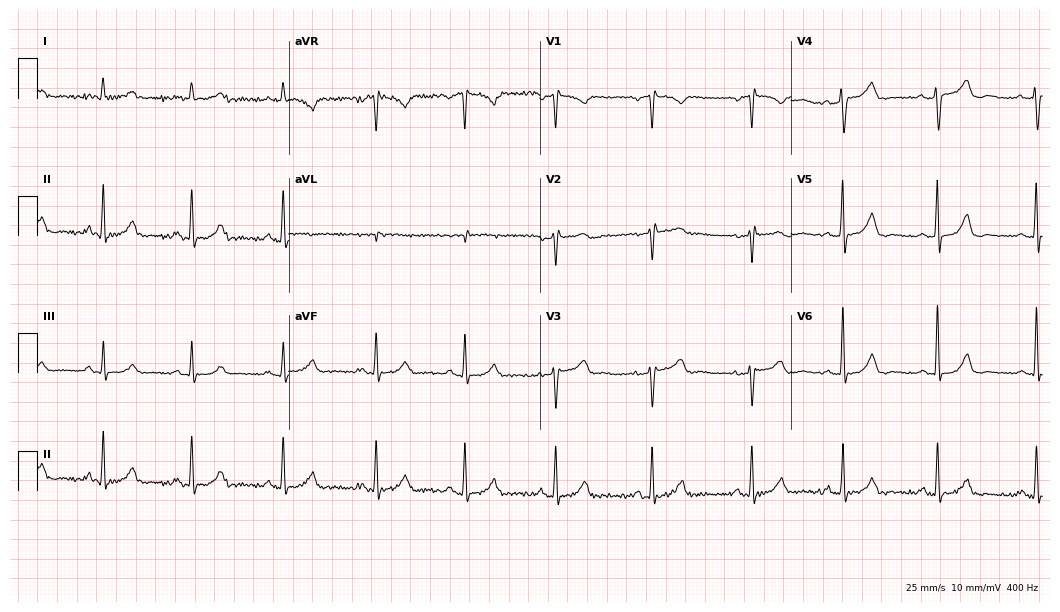
Resting 12-lead electrocardiogram. Patient: a man, 67 years old. None of these six findings is recorded: first-degree AV block, right bundle branch block, left bundle branch block, sinus bradycardia, atrial fibrillation, sinus tachycardia. Only these six findings were labelled.